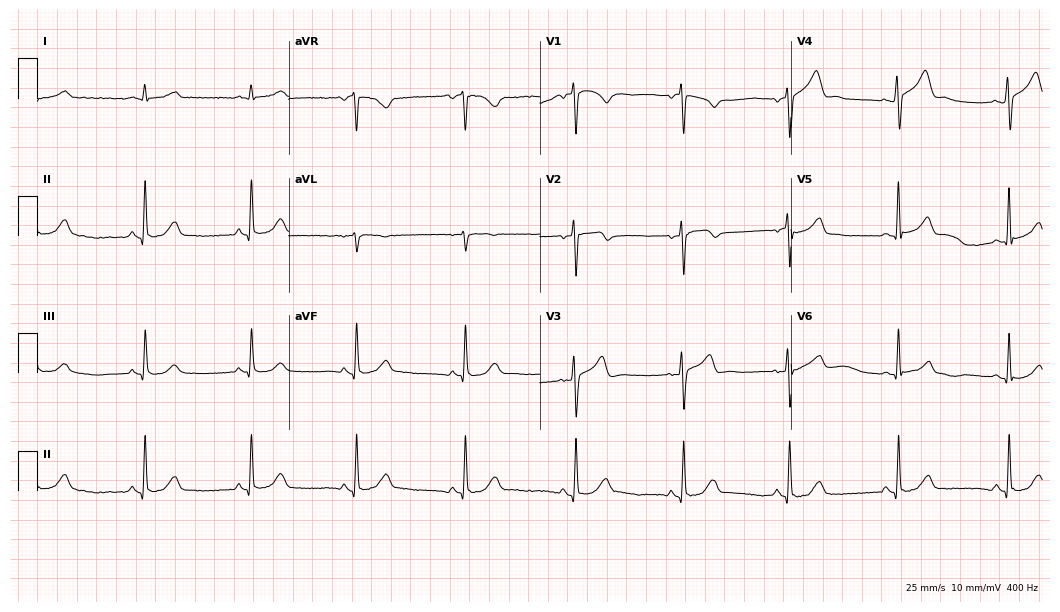
12-lead ECG (10.2-second recording at 400 Hz) from a 38-year-old man. Labelled as a normal ECG.